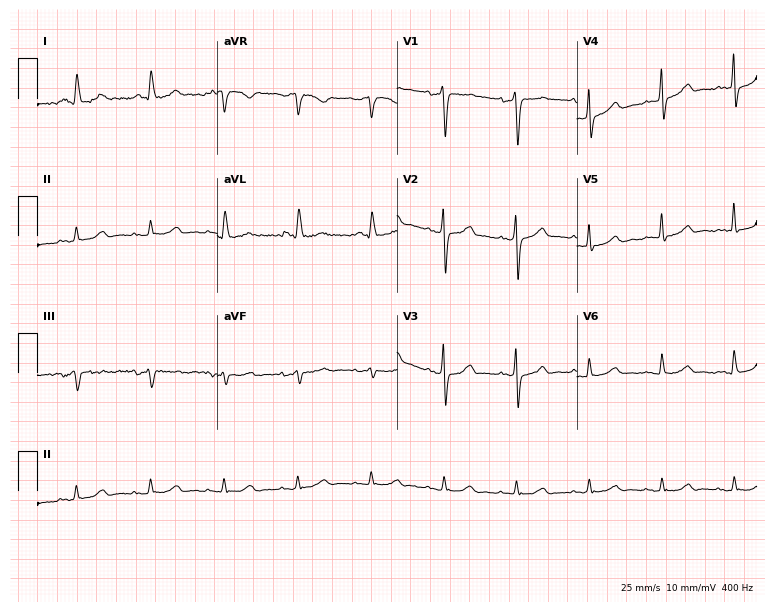
Standard 12-lead ECG recorded from a male patient, 74 years old. None of these six findings is recorded: first-degree AV block, right bundle branch block, left bundle branch block, sinus bradycardia, atrial fibrillation, sinus tachycardia.